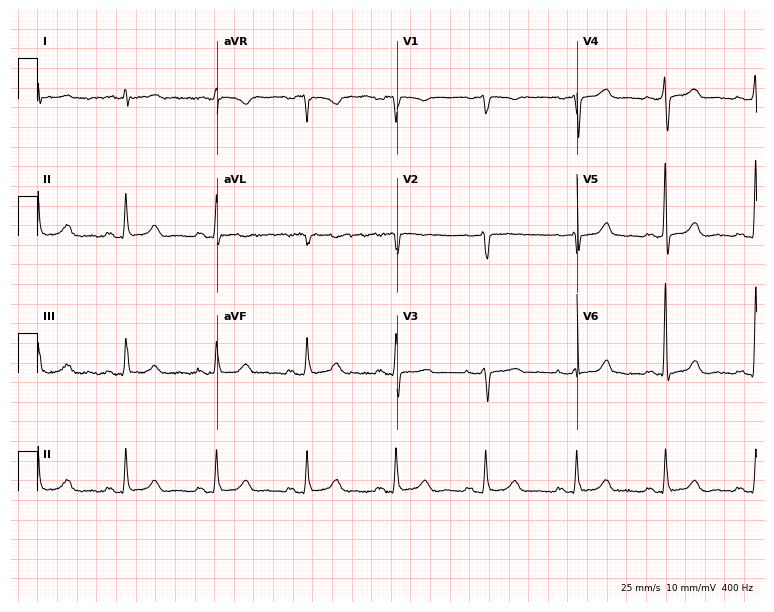
Electrocardiogram (7.3-second recording at 400 Hz), a woman, 69 years old. Overall reading on record: normal ECG.